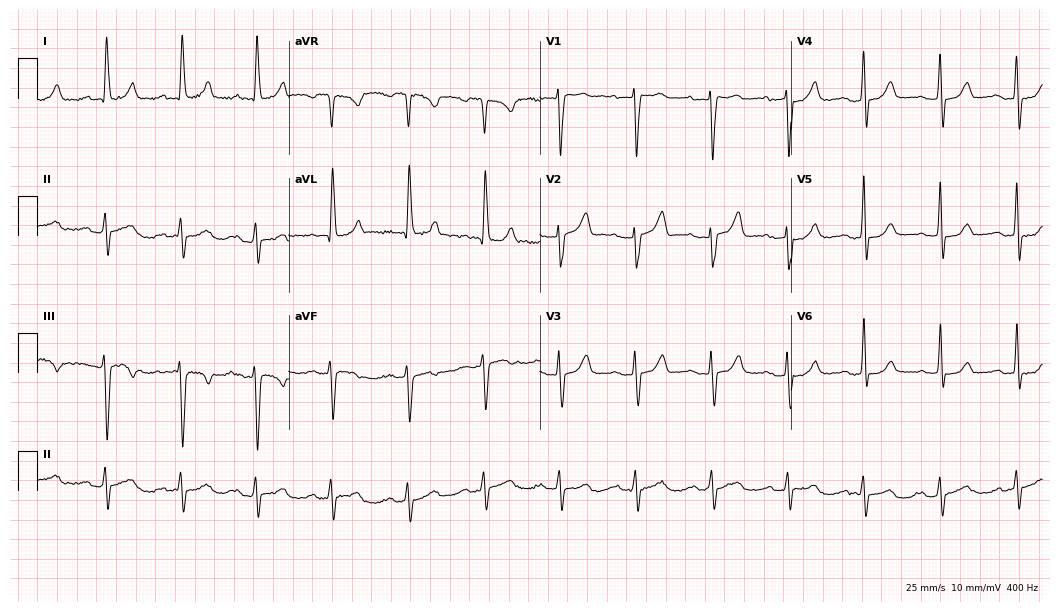
12-lead ECG (10.2-second recording at 400 Hz) from a 69-year-old woman. Findings include first-degree AV block.